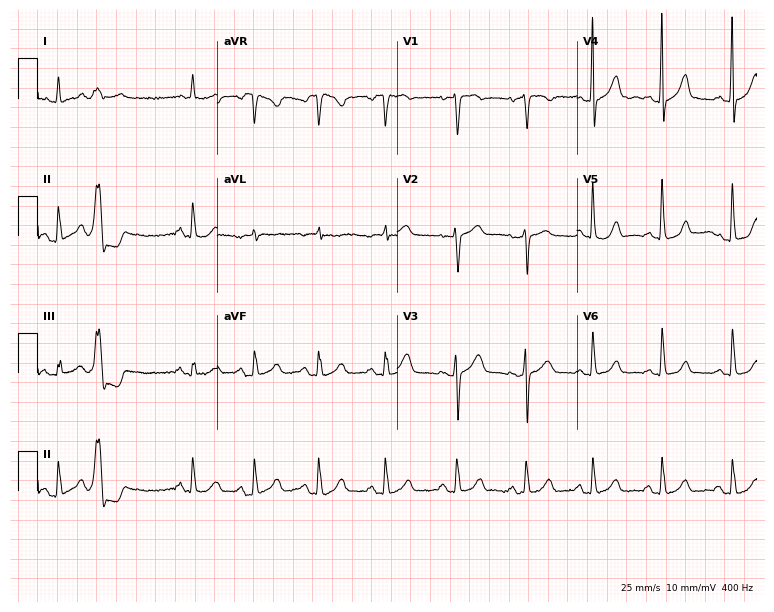
ECG — a female patient, 62 years old. Screened for six findings — first-degree AV block, right bundle branch block (RBBB), left bundle branch block (LBBB), sinus bradycardia, atrial fibrillation (AF), sinus tachycardia — none is recorded. Other findings, if any, are not listed.